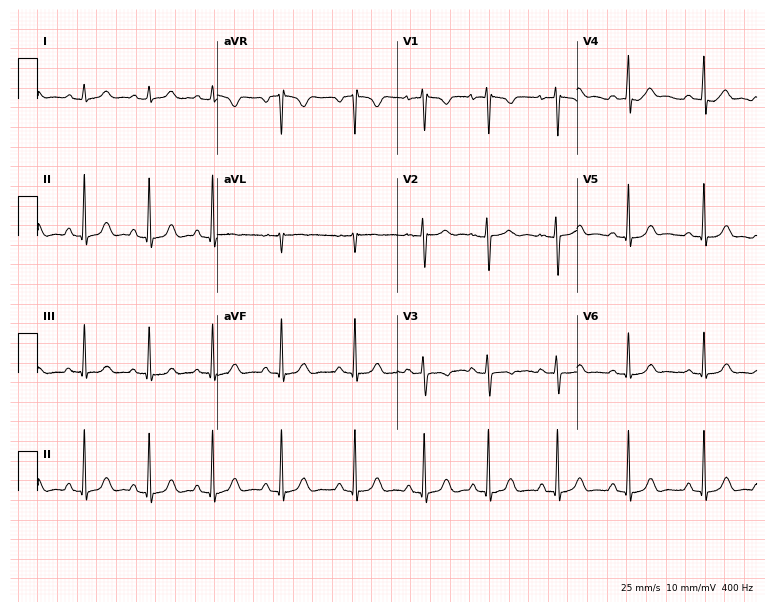
12-lead ECG from an 18-year-old female patient. Labelled as a normal ECG.